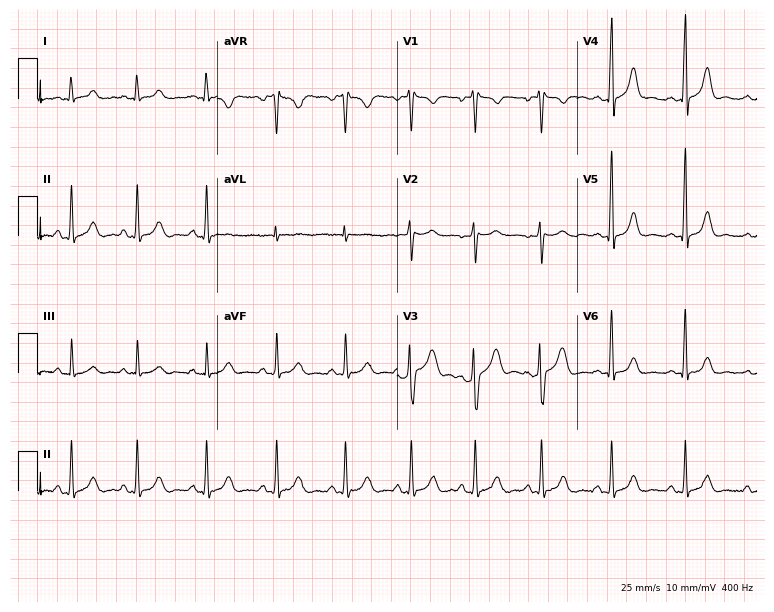
Resting 12-lead electrocardiogram (7.3-second recording at 400 Hz). Patient: a 28-year-old woman. None of these six findings is recorded: first-degree AV block, right bundle branch block (RBBB), left bundle branch block (LBBB), sinus bradycardia, atrial fibrillation (AF), sinus tachycardia.